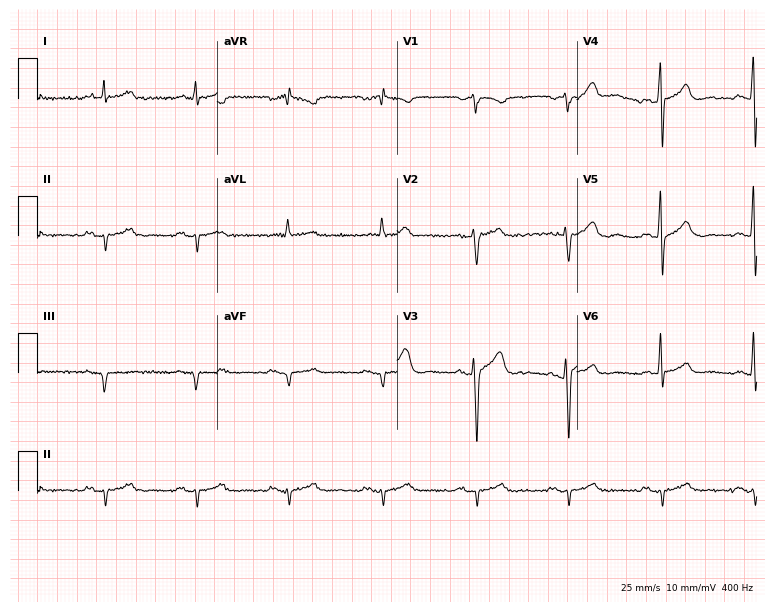
12-lead ECG from a male patient, 68 years old (7.3-second recording at 400 Hz). No first-degree AV block, right bundle branch block, left bundle branch block, sinus bradycardia, atrial fibrillation or sinus tachycardia recorded for this tracing.